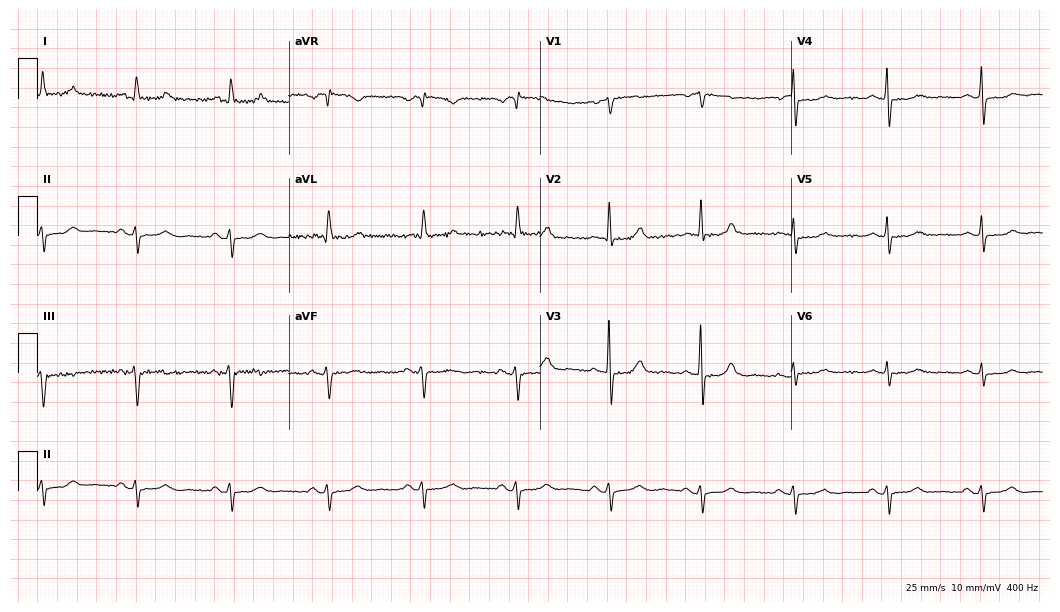
Standard 12-lead ECG recorded from a 66-year-old woman. None of these six findings is recorded: first-degree AV block, right bundle branch block, left bundle branch block, sinus bradycardia, atrial fibrillation, sinus tachycardia. Other findings, if any, are not listed.